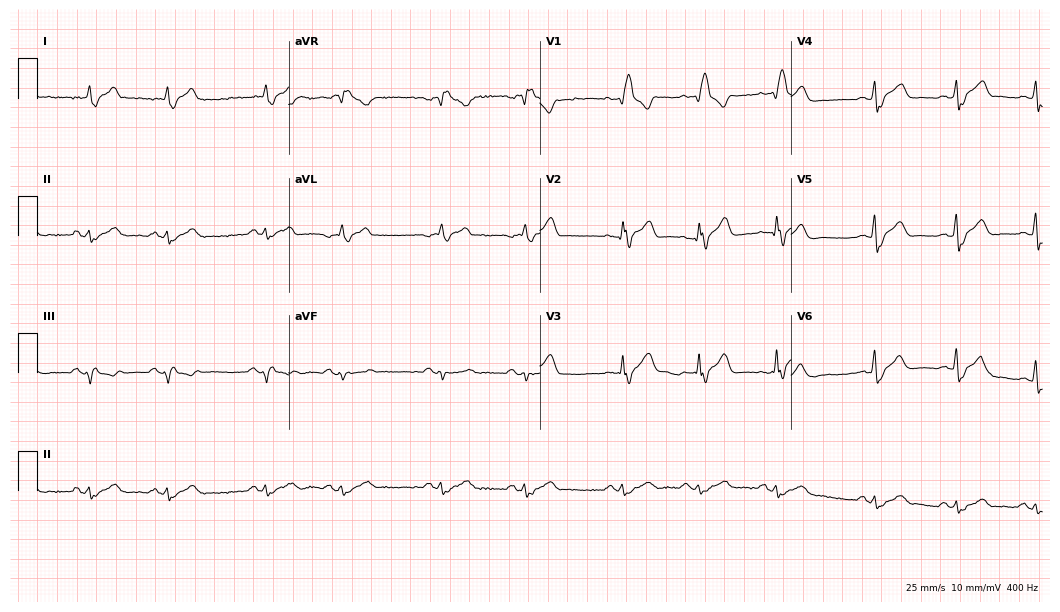
12-lead ECG from a 71-year-old man. Shows right bundle branch block (RBBB).